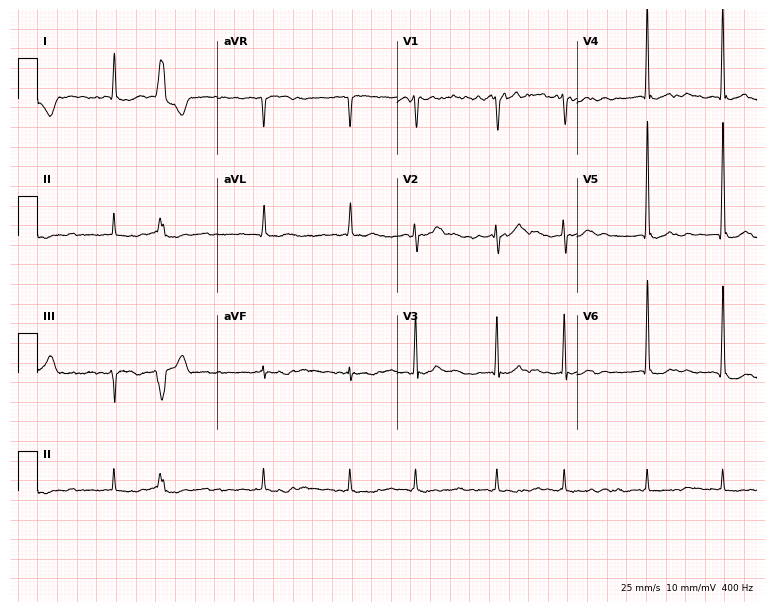
Resting 12-lead electrocardiogram. Patient: a male, 66 years old. The tracing shows atrial fibrillation (AF).